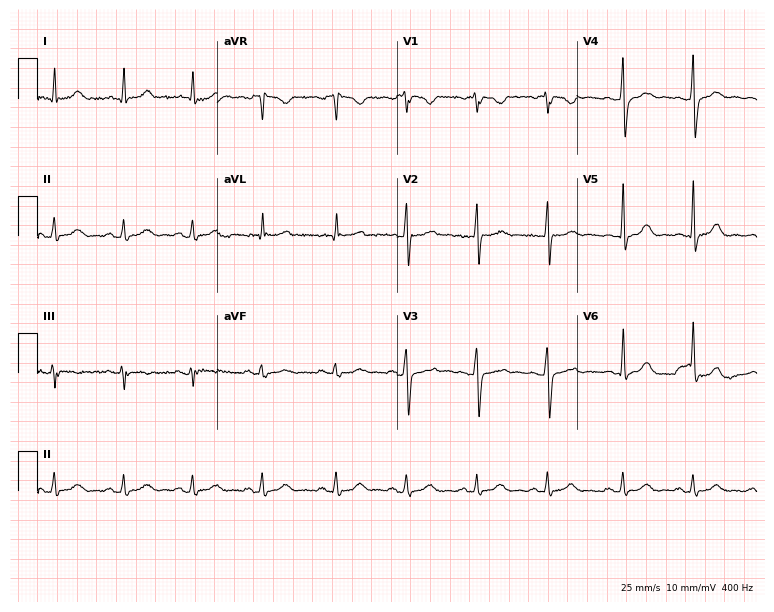
Electrocardiogram (7.3-second recording at 400 Hz), a 29-year-old female. Overall reading on record: normal ECG.